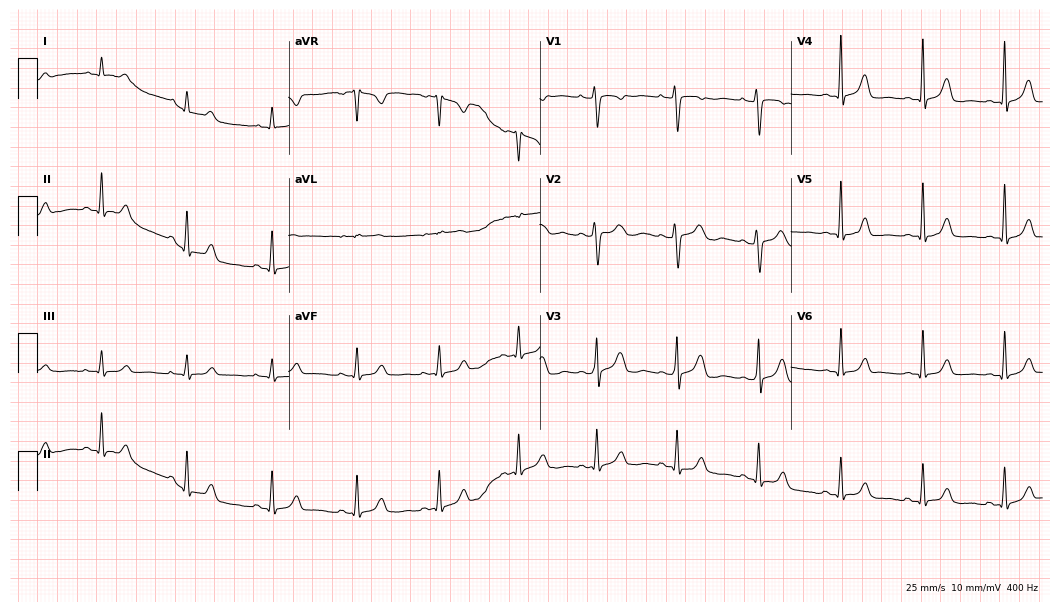
12-lead ECG from a woman, 41 years old (10.2-second recording at 400 Hz). Recorded interpretation: within normal limits.